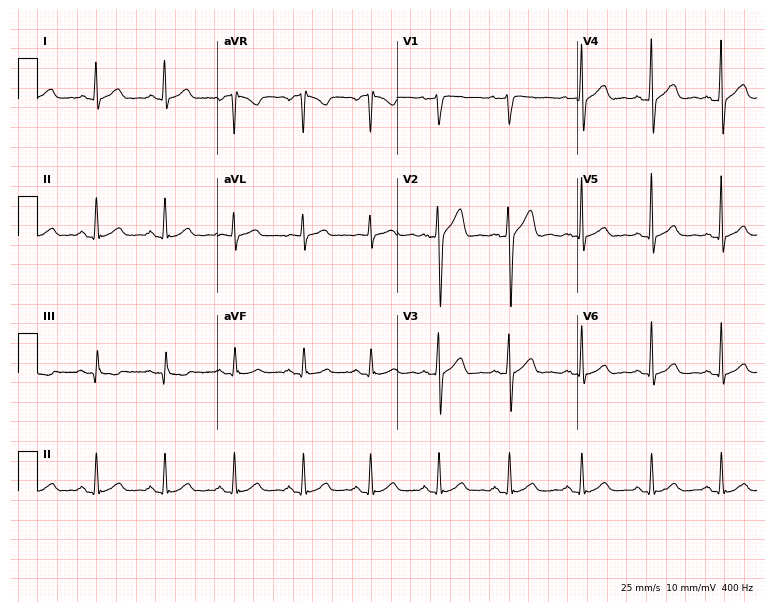
12-lead ECG from a 40-year-old man (7.3-second recording at 400 Hz). Recorded interpretation: within normal limits.